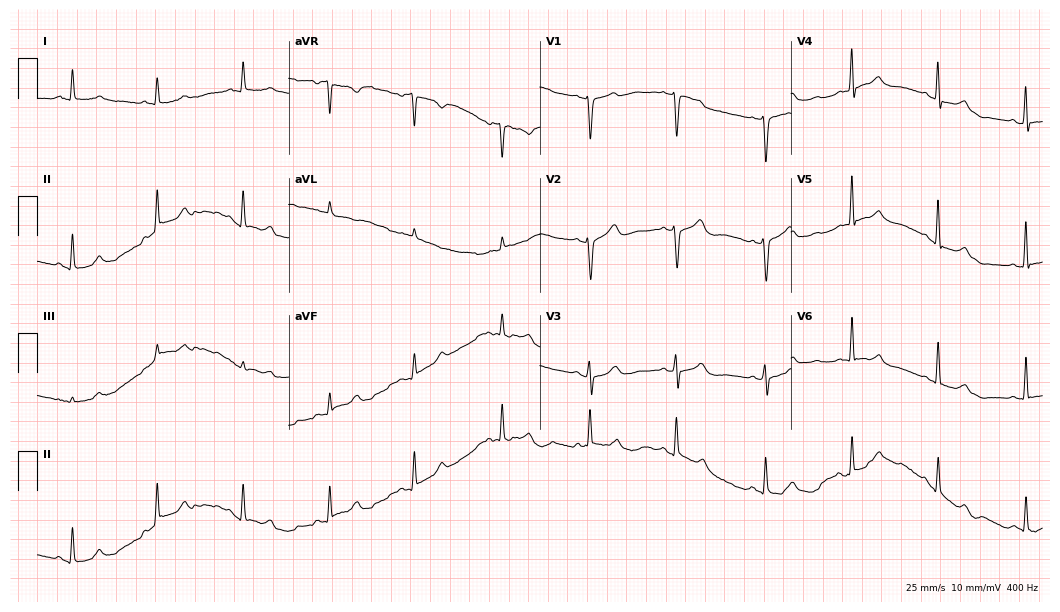
Resting 12-lead electrocardiogram. Patient: a 67-year-old female. None of these six findings is recorded: first-degree AV block, right bundle branch block, left bundle branch block, sinus bradycardia, atrial fibrillation, sinus tachycardia. Findings outside these six are not listed.